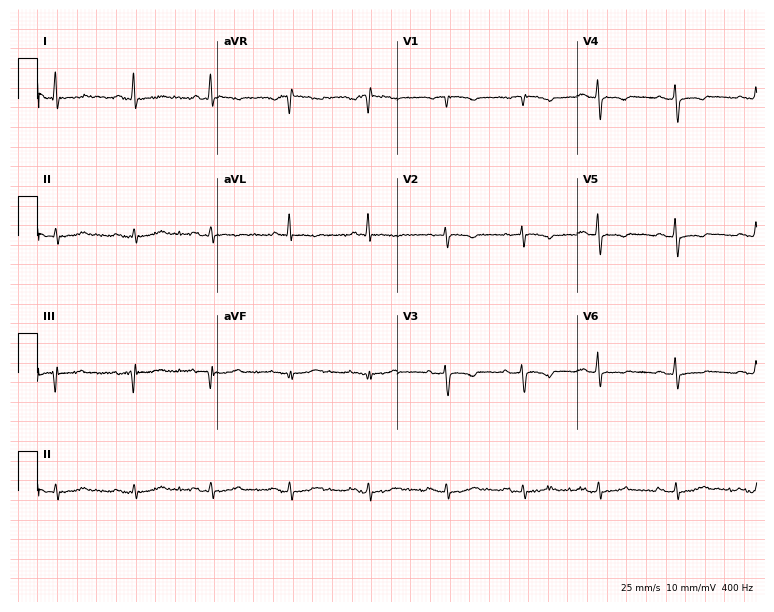
ECG — a 76-year-old man. Screened for six findings — first-degree AV block, right bundle branch block (RBBB), left bundle branch block (LBBB), sinus bradycardia, atrial fibrillation (AF), sinus tachycardia — none is recorded. Findings outside these six are not listed.